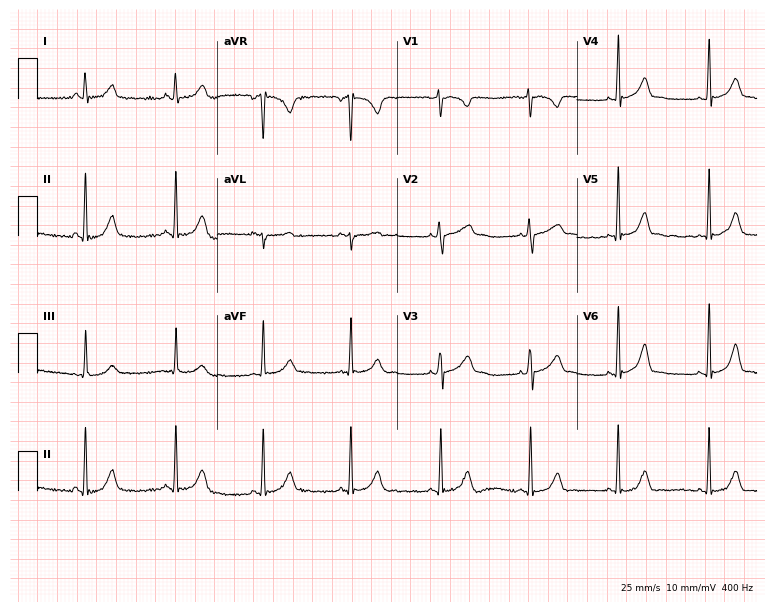
ECG — a woman, 17 years old. Screened for six findings — first-degree AV block, right bundle branch block, left bundle branch block, sinus bradycardia, atrial fibrillation, sinus tachycardia — none is recorded. Only these six findings were labelled.